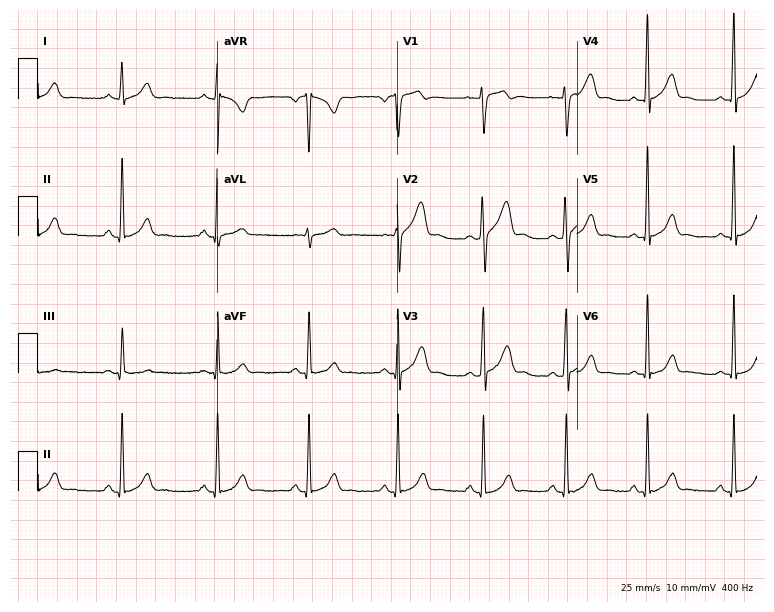
Resting 12-lead electrocardiogram (7.3-second recording at 400 Hz). Patient: a male, 28 years old. None of these six findings is recorded: first-degree AV block, right bundle branch block, left bundle branch block, sinus bradycardia, atrial fibrillation, sinus tachycardia. Other findings, if any, are not listed.